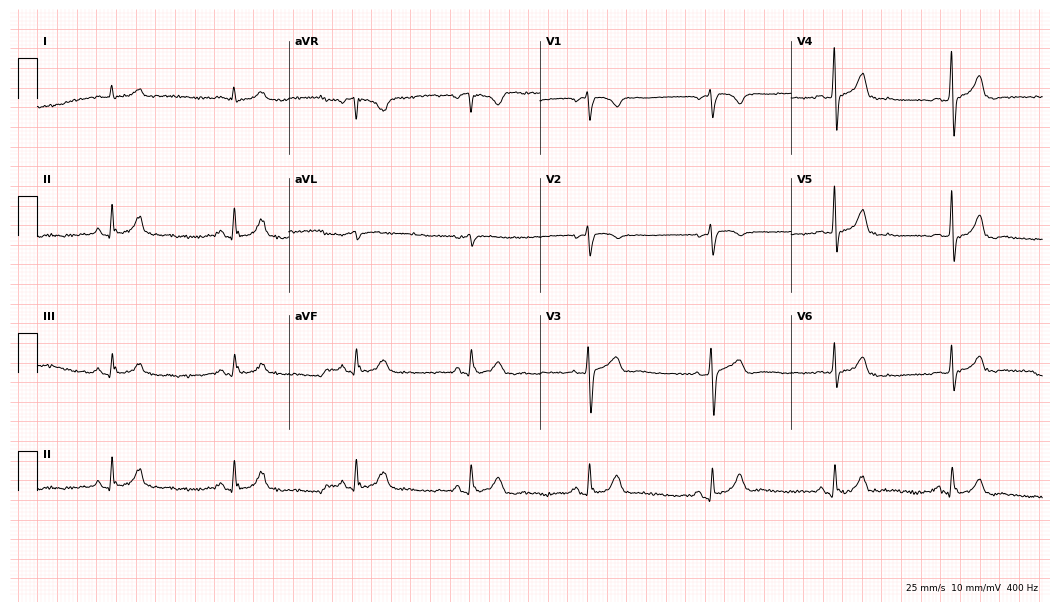
Electrocardiogram (10.2-second recording at 400 Hz), a 61-year-old female. Interpretation includes sinus bradycardia (a sinus rate of 50 beats per minute or less).